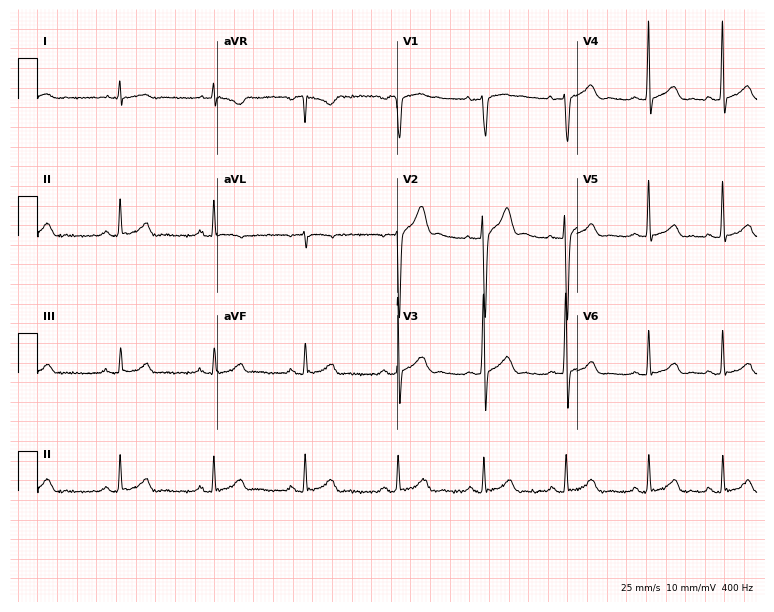
Electrocardiogram, a male, 23 years old. Of the six screened findings (first-degree AV block, right bundle branch block, left bundle branch block, sinus bradycardia, atrial fibrillation, sinus tachycardia), none is recorded.